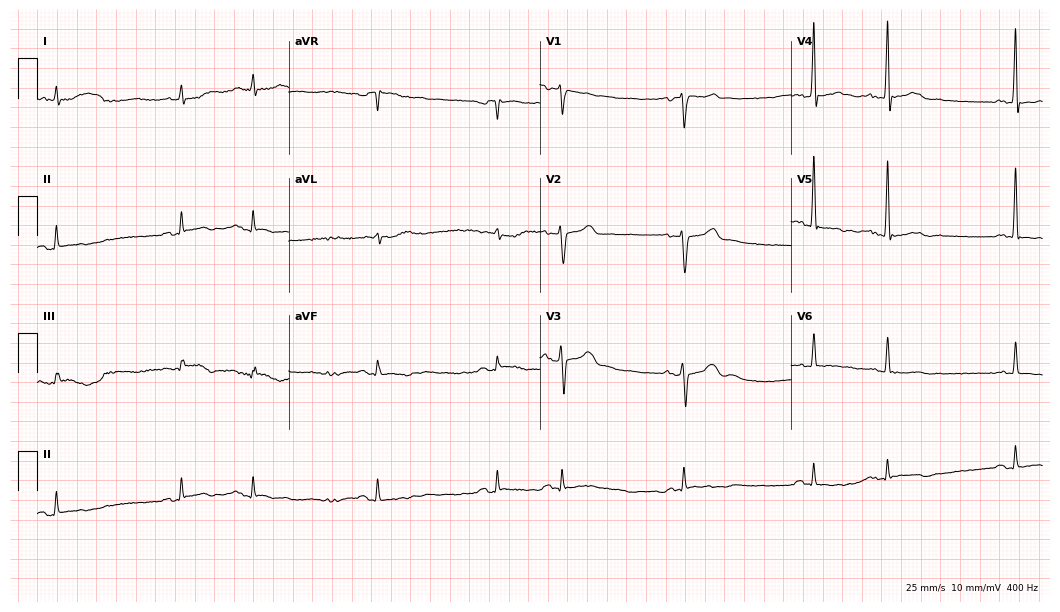
12-lead ECG from a 71-year-old man. Screened for six findings — first-degree AV block, right bundle branch block, left bundle branch block, sinus bradycardia, atrial fibrillation, sinus tachycardia — none is recorded.